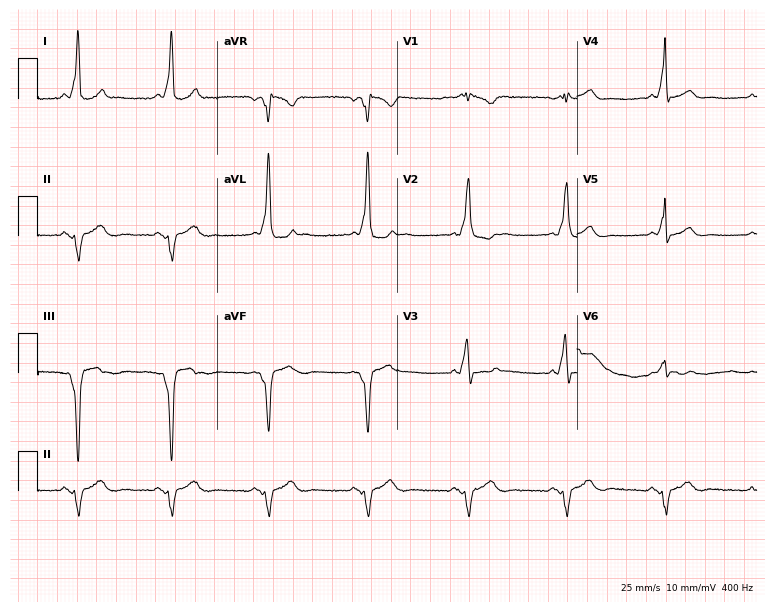
Resting 12-lead electrocardiogram (7.3-second recording at 400 Hz). Patient: a 44-year-old man. None of these six findings is recorded: first-degree AV block, right bundle branch block, left bundle branch block, sinus bradycardia, atrial fibrillation, sinus tachycardia.